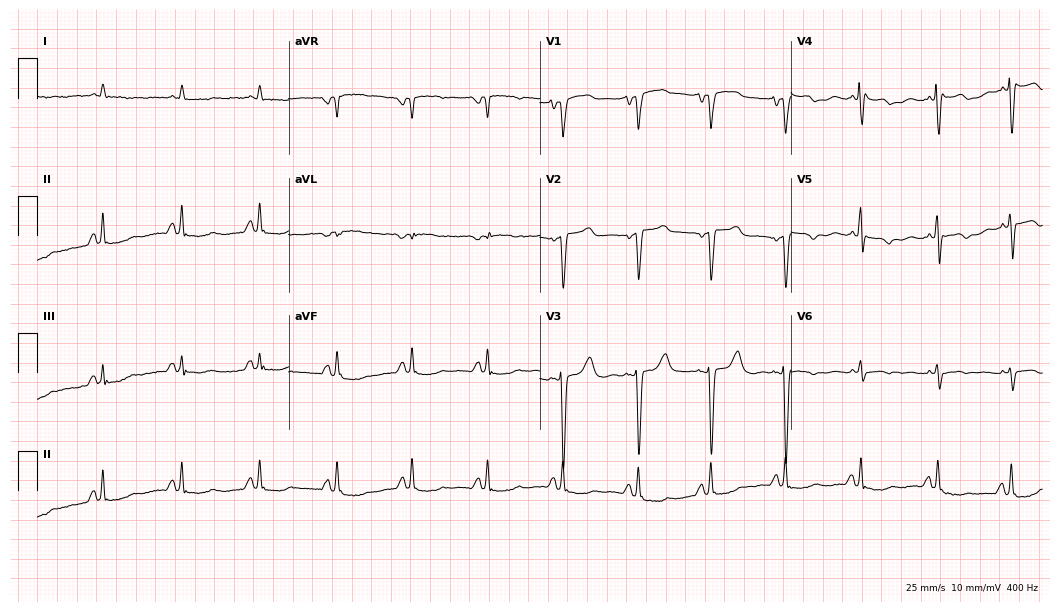
12-lead ECG from a female, 73 years old. Screened for six findings — first-degree AV block, right bundle branch block, left bundle branch block, sinus bradycardia, atrial fibrillation, sinus tachycardia — none is recorded. Other findings, if any, are not listed.